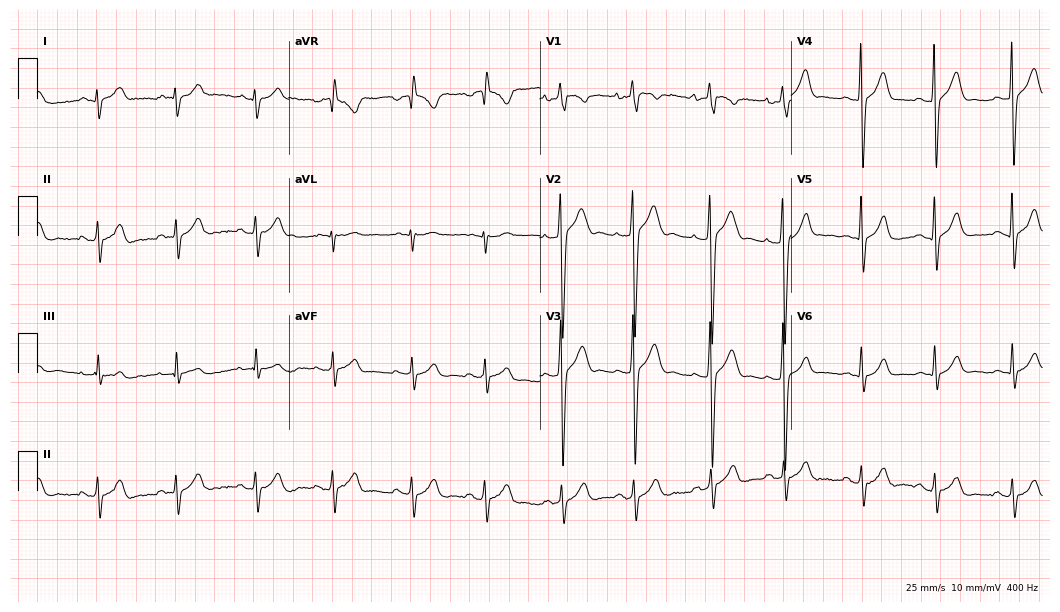
Resting 12-lead electrocardiogram. Patient: an 18-year-old man. None of these six findings is recorded: first-degree AV block, right bundle branch block, left bundle branch block, sinus bradycardia, atrial fibrillation, sinus tachycardia. Other findings, if any, are not listed.